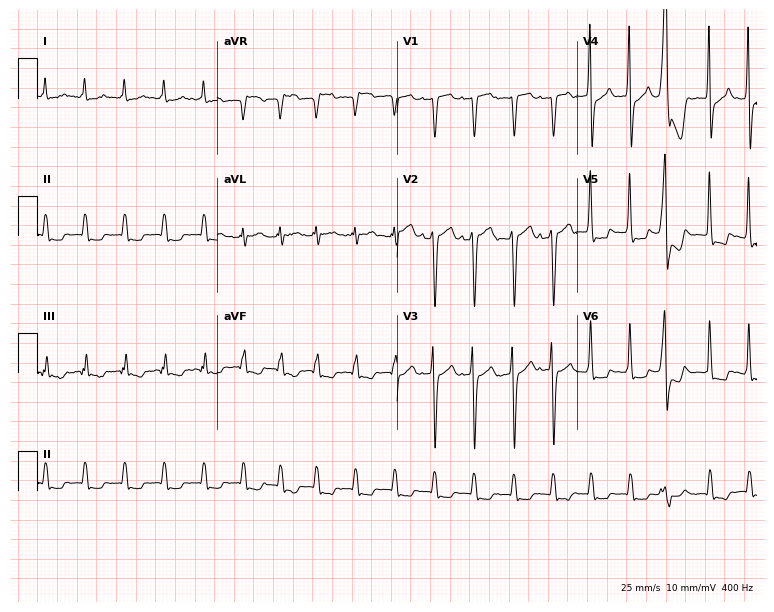
12-lead ECG from a male, 73 years old. Screened for six findings — first-degree AV block, right bundle branch block, left bundle branch block, sinus bradycardia, atrial fibrillation, sinus tachycardia — none is recorded. Only these six findings were labelled.